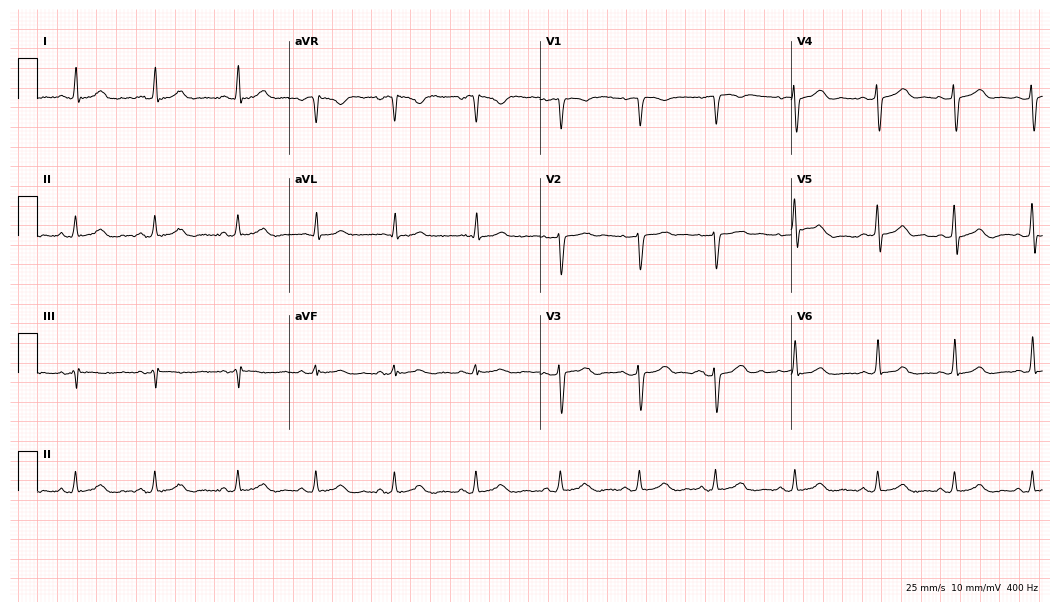
12-lead ECG from a 35-year-old female. Recorded interpretation: within normal limits.